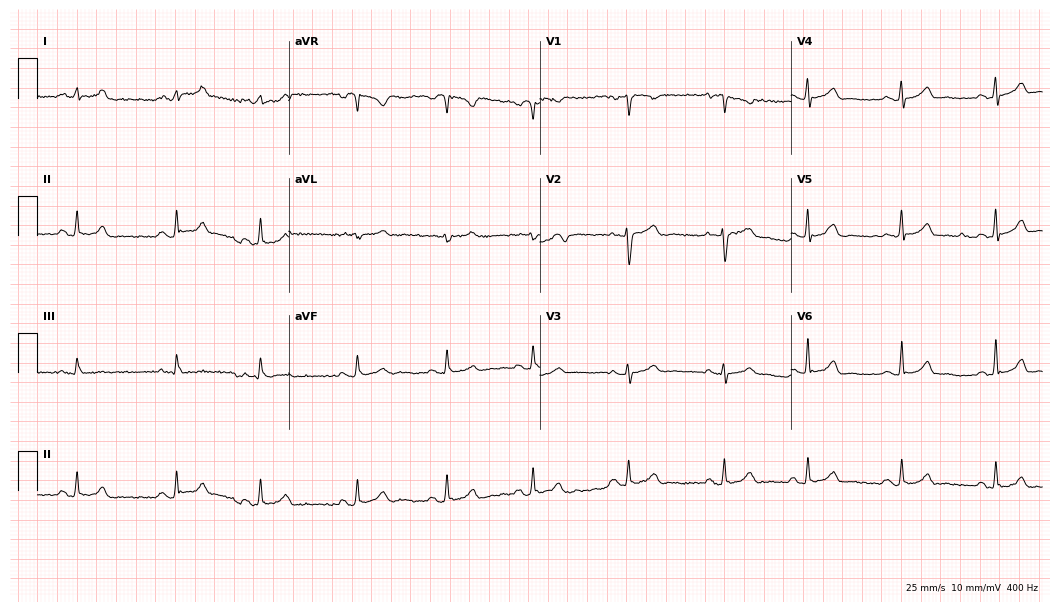
12-lead ECG from a 24-year-old woman. Labelled as a normal ECG.